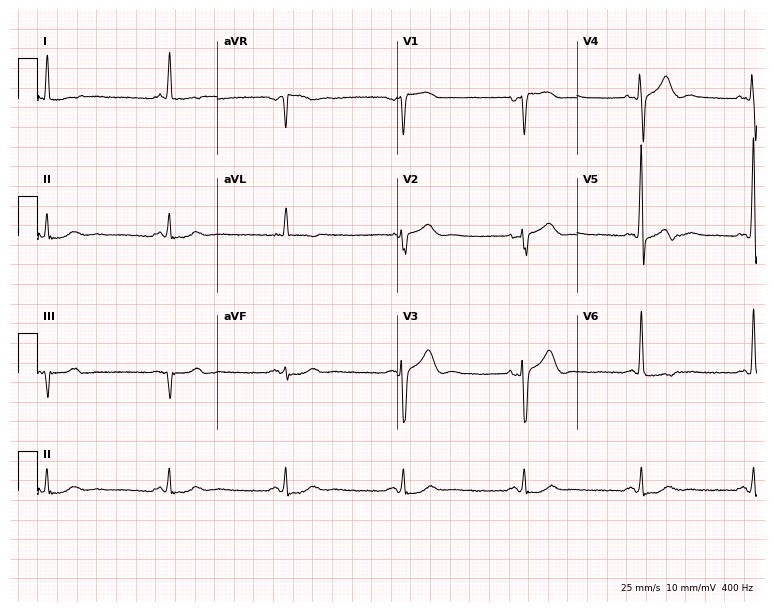
Resting 12-lead electrocardiogram (7.3-second recording at 400 Hz). Patient: a 76-year-old man. None of these six findings is recorded: first-degree AV block, right bundle branch block, left bundle branch block, sinus bradycardia, atrial fibrillation, sinus tachycardia. Other findings, if any, are not listed.